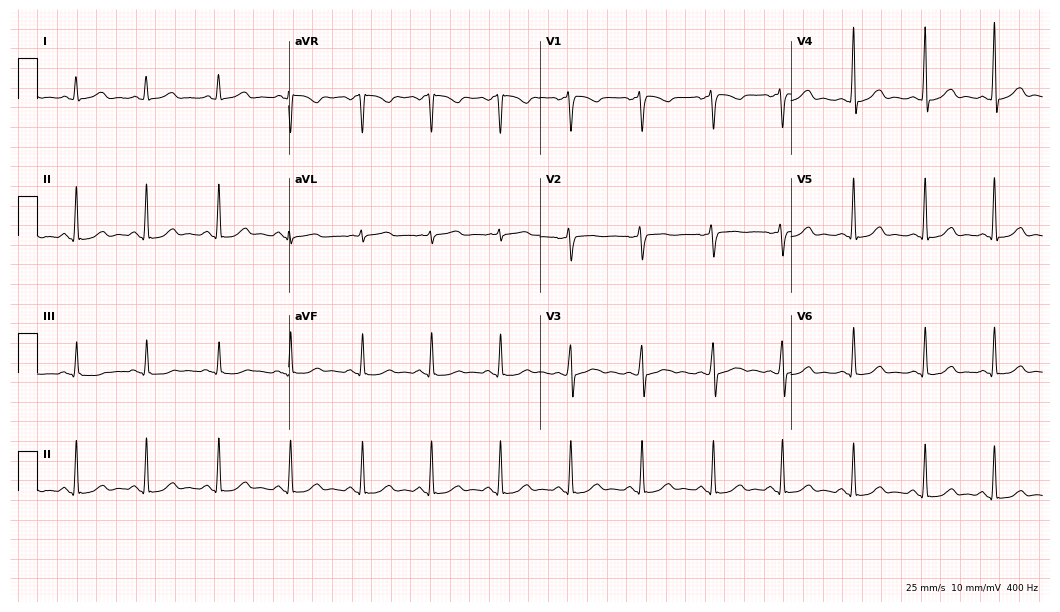
12-lead ECG from a woman, 32 years old. No first-degree AV block, right bundle branch block (RBBB), left bundle branch block (LBBB), sinus bradycardia, atrial fibrillation (AF) or sinus tachycardia recorded for this tracing.